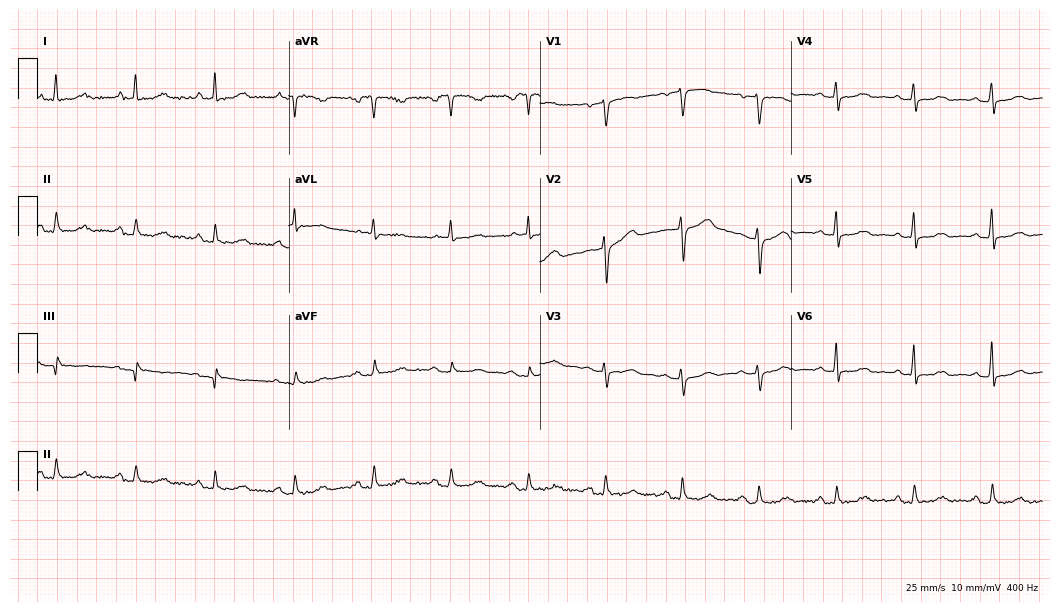
Resting 12-lead electrocardiogram. Patient: a 58-year-old woman. Read as a normal ECG.